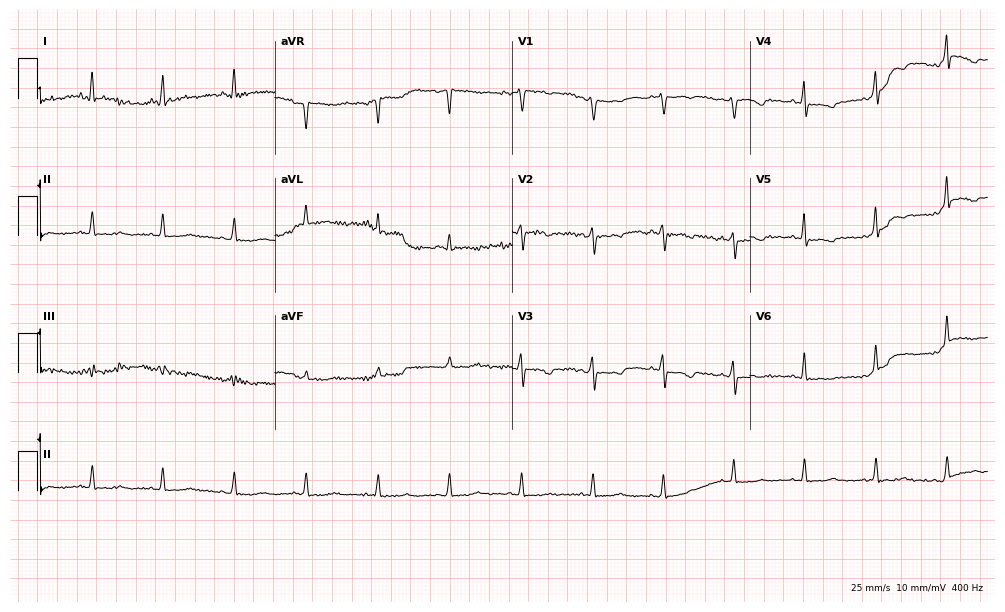
Electrocardiogram (9.7-second recording at 400 Hz), a woman, 48 years old. Of the six screened findings (first-degree AV block, right bundle branch block (RBBB), left bundle branch block (LBBB), sinus bradycardia, atrial fibrillation (AF), sinus tachycardia), none is recorded. Only these six findings were labelled.